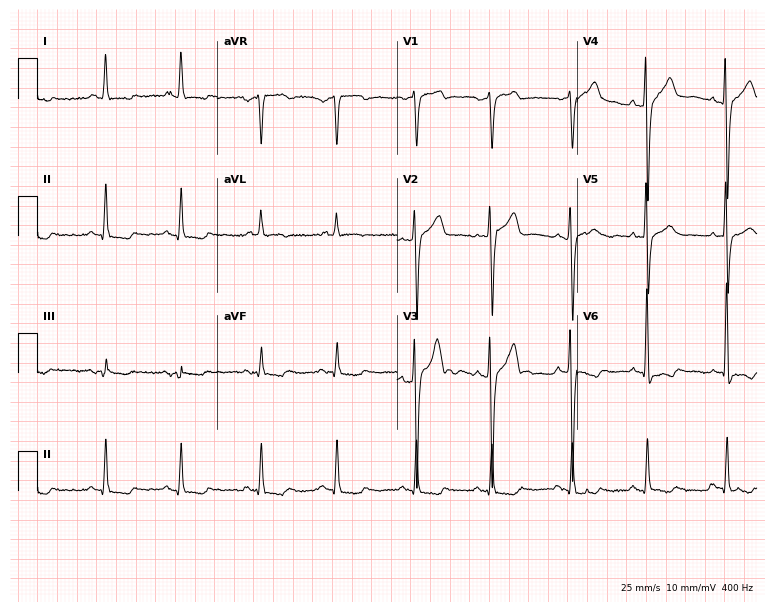
ECG — a man, 73 years old. Screened for six findings — first-degree AV block, right bundle branch block (RBBB), left bundle branch block (LBBB), sinus bradycardia, atrial fibrillation (AF), sinus tachycardia — none is recorded. Findings outside these six are not listed.